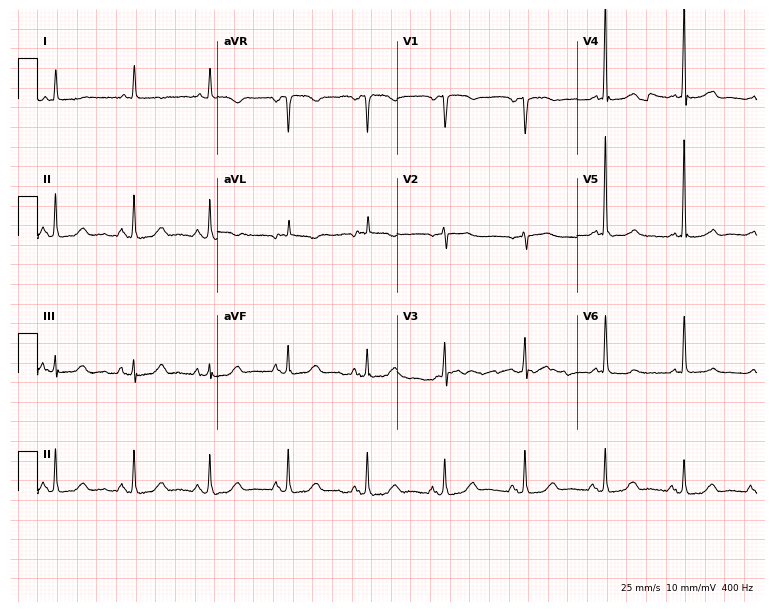
Standard 12-lead ECG recorded from a 74-year-old woman. None of these six findings is recorded: first-degree AV block, right bundle branch block, left bundle branch block, sinus bradycardia, atrial fibrillation, sinus tachycardia. Other findings, if any, are not listed.